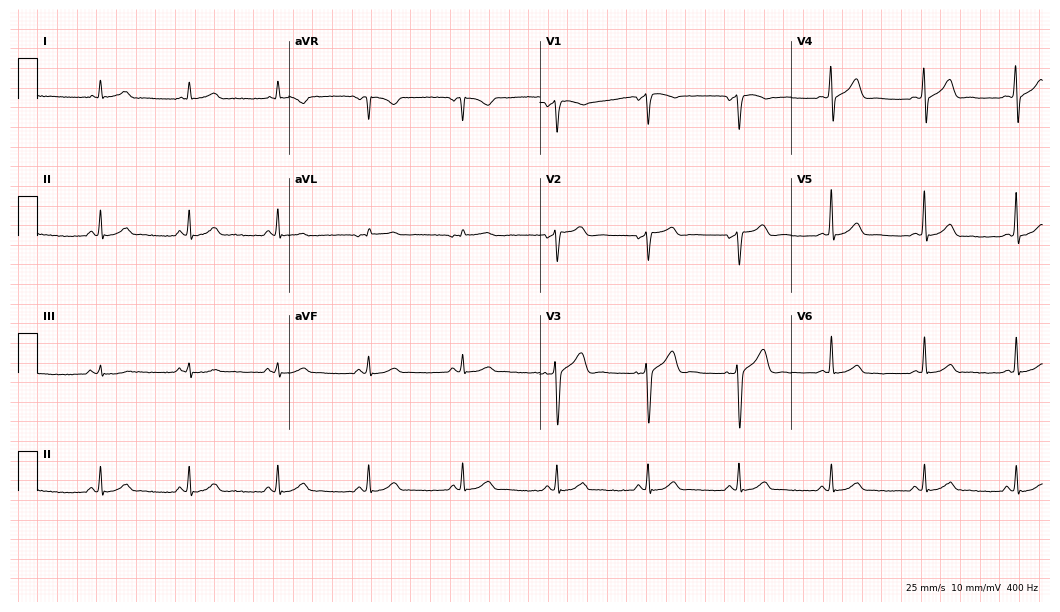
12-lead ECG from a 56-year-old male patient. Screened for six findings — first-degree AV block, right bundle branch block, left bundle branch block, sinus bradycardia, atrial fibrillation, sinus tachycardia — none is recorded.